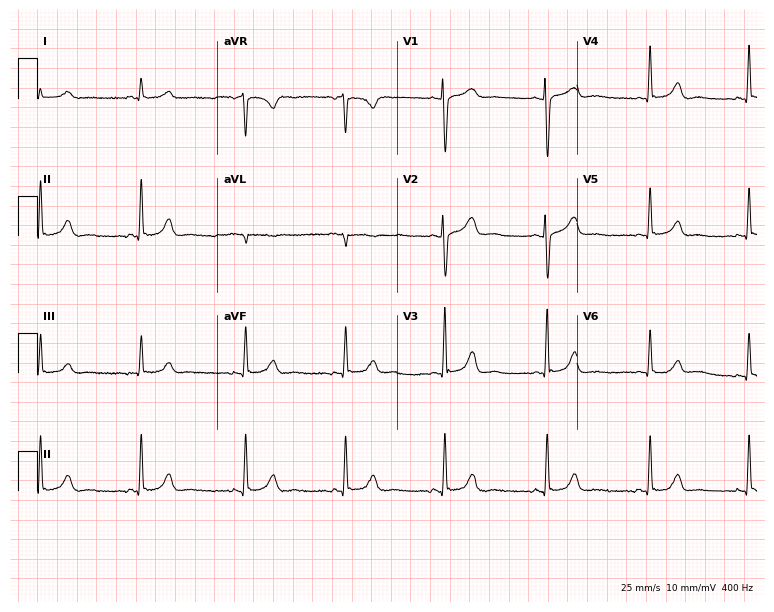
ECG — a female, 51 years old. Labelled as a normal ECG.